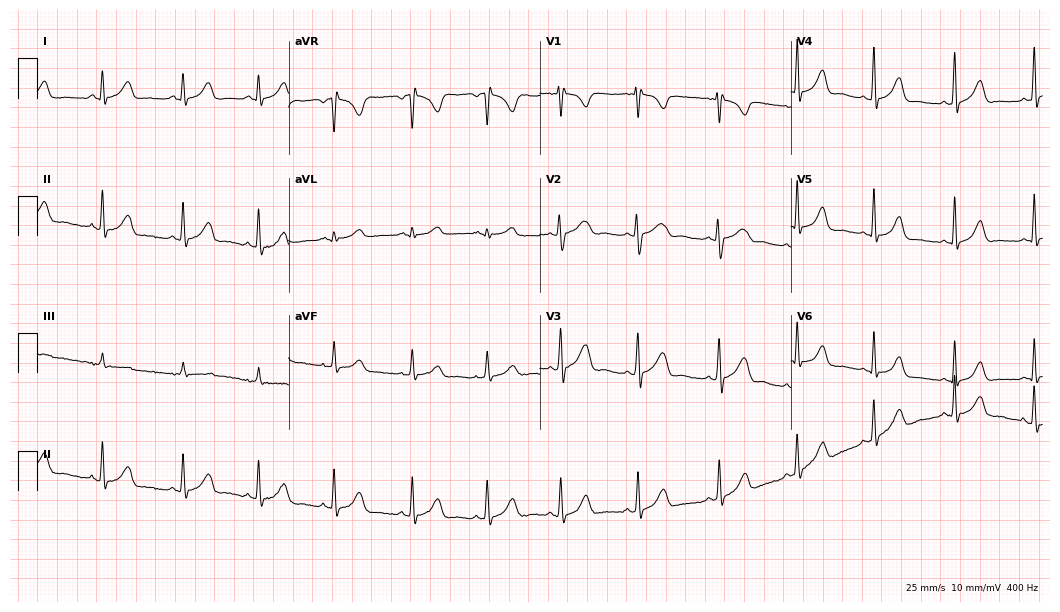
12-lead ECG from a female patient, 20 years old. Labelled as a normal ECG.